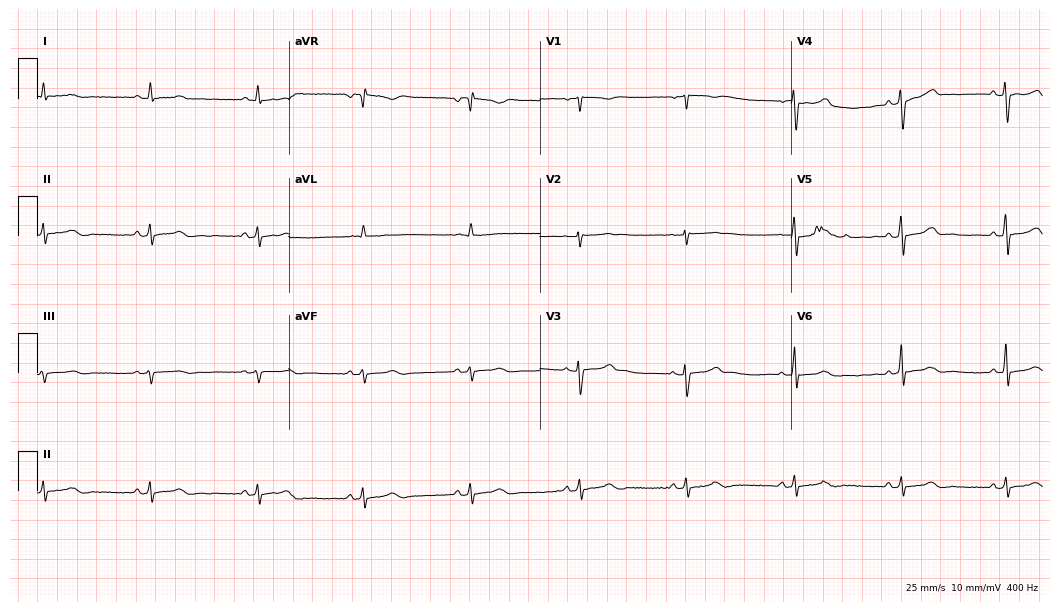
ECG — a female, 43 years old. Labelled as a normal ECG.